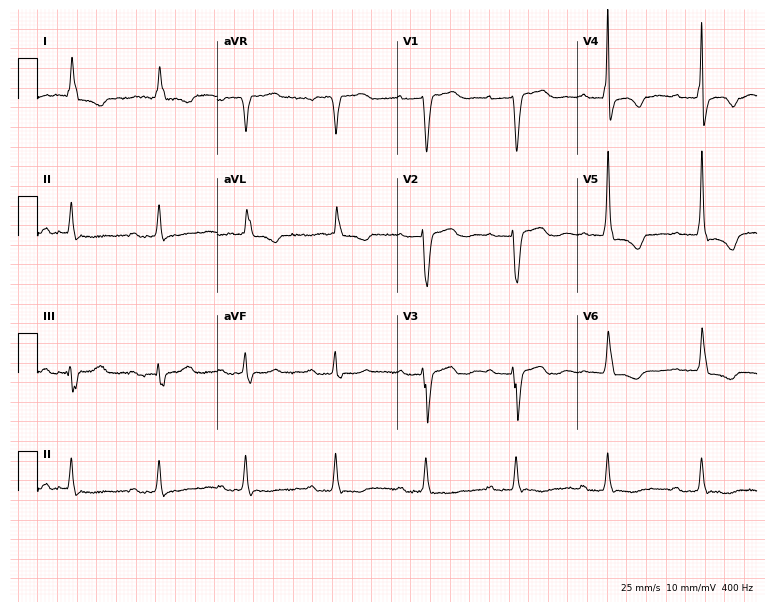
12-lead ECG from an 83-year-old woman (7.3-second recording at 400 Hz). No first-degree AV block, right bundle branch block, left bundle branch block, sinus bradycardia, atrial fibrillation or sinus tachycardia recorded for this tracing. Other findings, if any, are not listed.